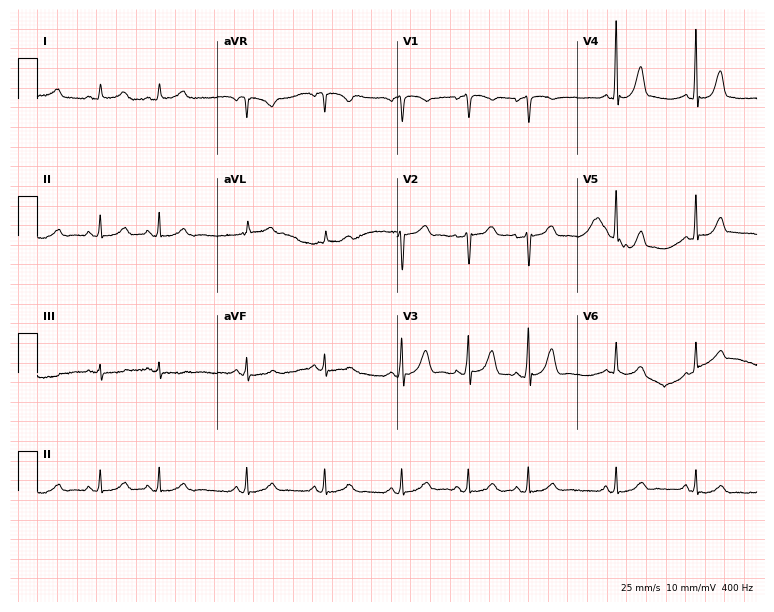
Electrocardiogram (7.3-second recording at 400 Hz), a 70-year-old female. Of the six screened findings (first-degree AV block, right bundle branch block (RBBB), left bundle branch block (LBBB), sinus bradycardia, atrial fibrillation (AF), sinus tachycardia), none is recorded. Findings outside these six are not listed.